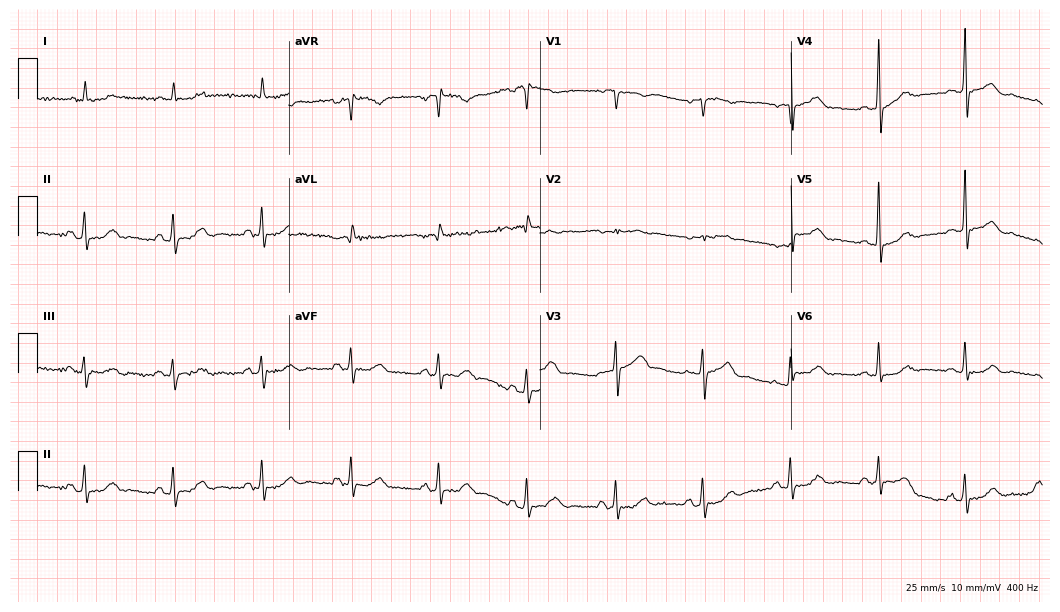
12-lead ECG from a woman, 85 years old (10.2-second recording at 400 Hz). Recorded interpretation: within normal limits.